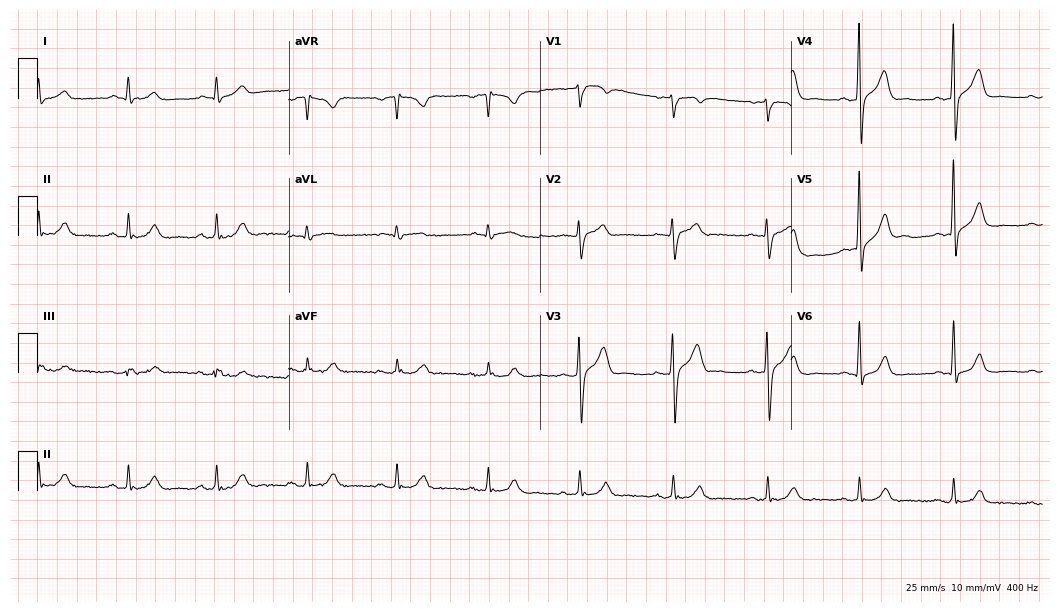
Resting 12-lead electrocardiogram (10.2-second recording at 400 Hz). Patient: a male, 46 years old. Read as a normal ECG.